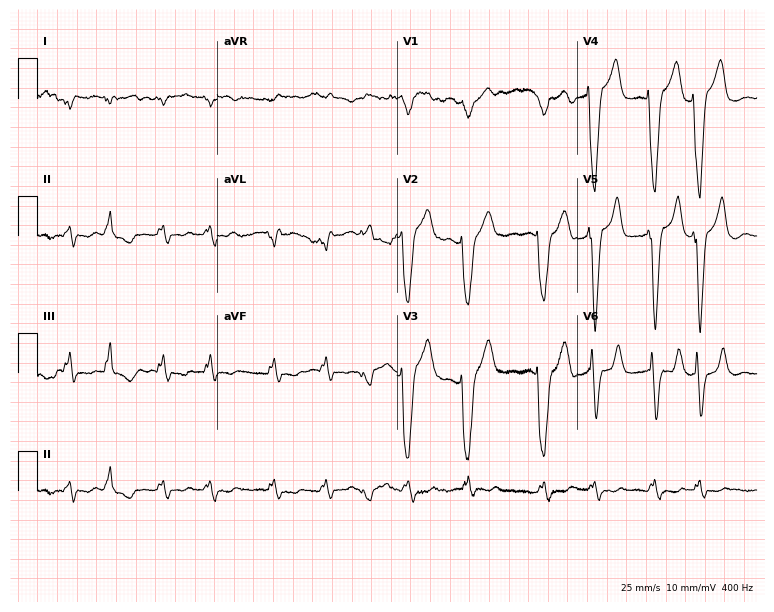
Electrocardiogram (7.3-second recording at 400 Hz), a male, 83 years old. Of the six screened findings (first-degree AV block, right bundle branch block (RBBB), left bundle branch block (LBBB), sinus bradycardia, atrial fibrillation (AF), sinus tachycardia), none is recorded.